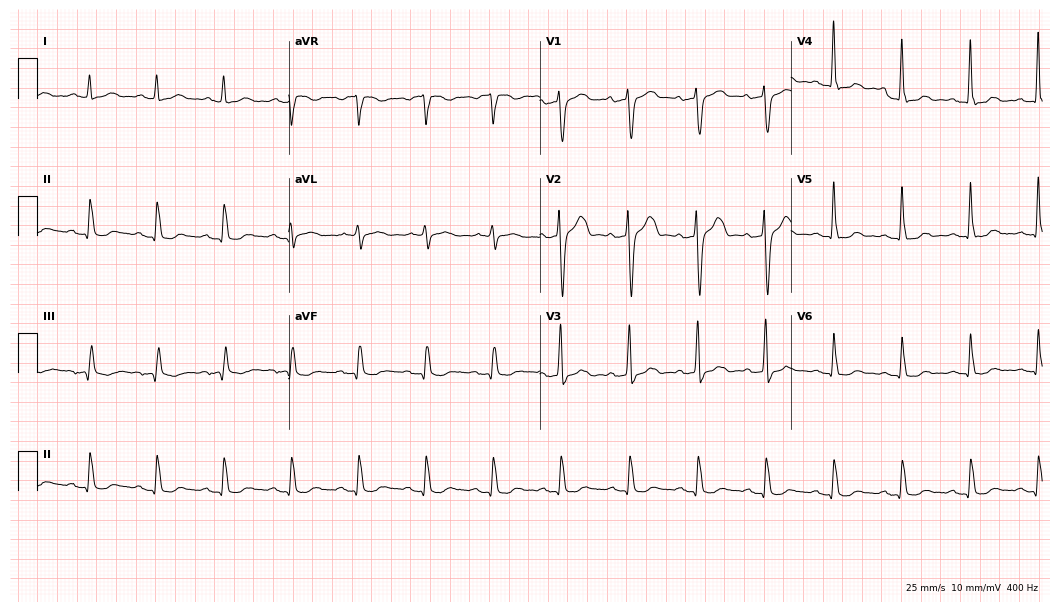
12-lead ECG from a male patient, 56 years old. No first-degree AV block, right bundle branch block, left bundle branch block, sinus bradycardia, atrial fibrillation or sinus tachycardia recorded for this tracing.